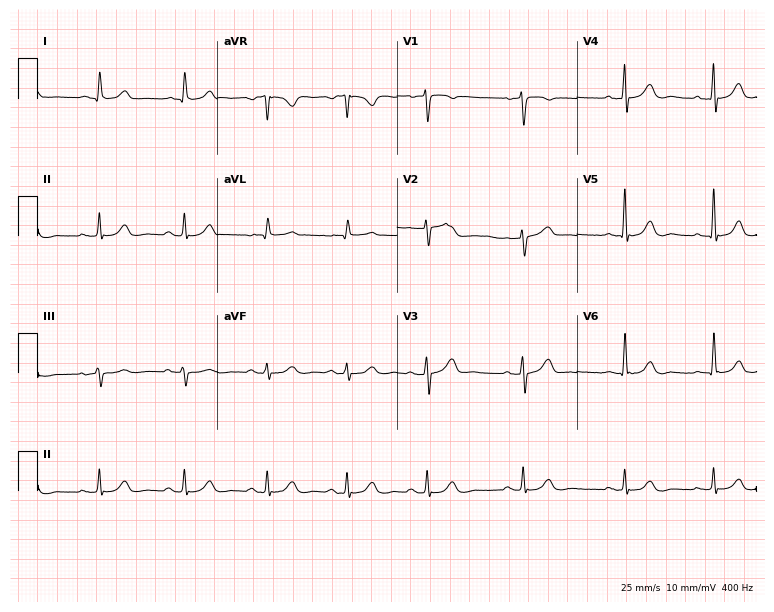
Resting 12-lead electrocardiogram (7.3-second recording at 400 Hz). Patient: a 65-year-old man. None of these six findings is recorded: first-degree AV block, right bundle branch block, left bundle branch block, sinus bradycardia, atrial fibrillation, sinus tachycardia.